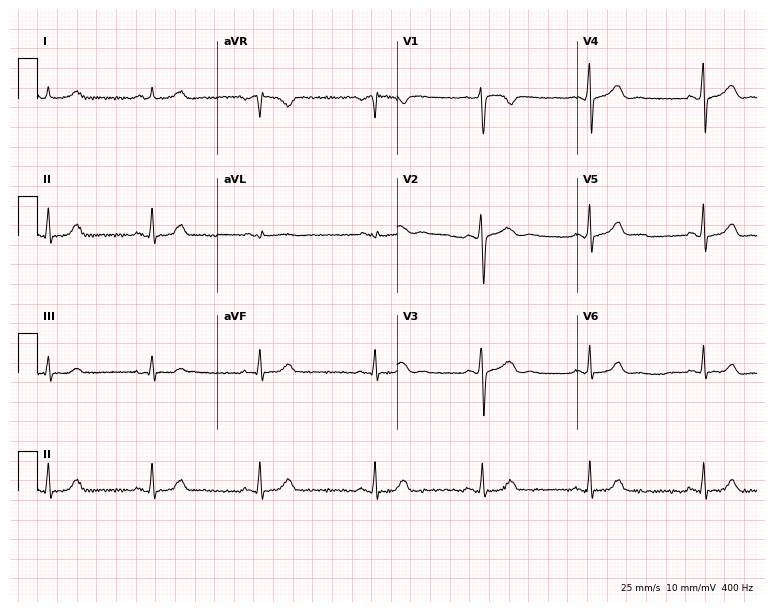
Electrocardiogram, a female, 23 years old. Of the six screened findings (first-degree AV block, right bundle branch block, left bundle branch block, sinus bradycardia, atrial fibrillation, sinus tachycardia), none is recorded. Other findings, if any, are not listed.